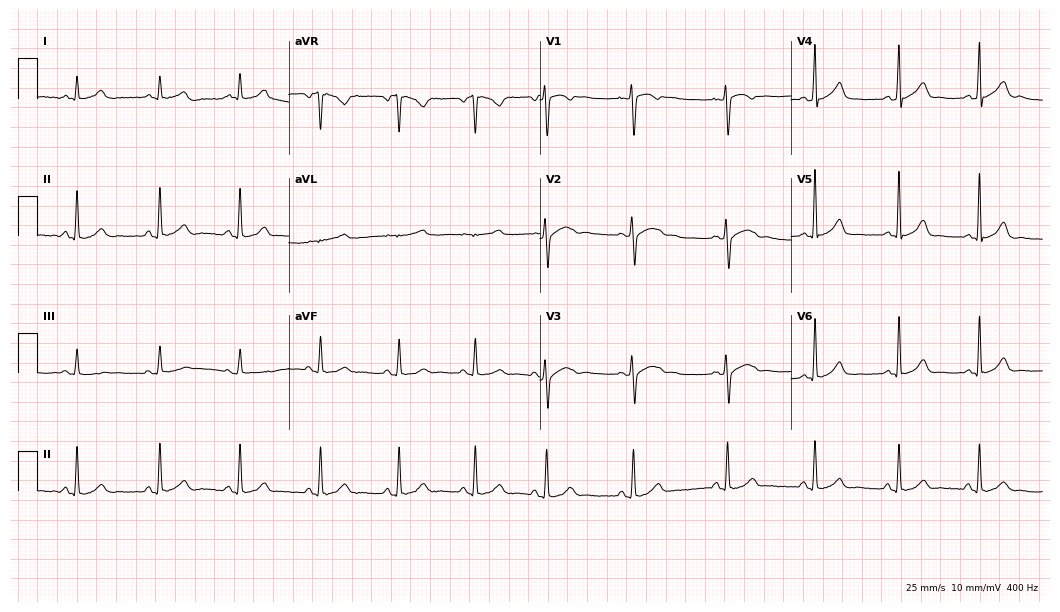
12-lead ECG from a female, 37 years old. Recorded interpretation: within normal limits.